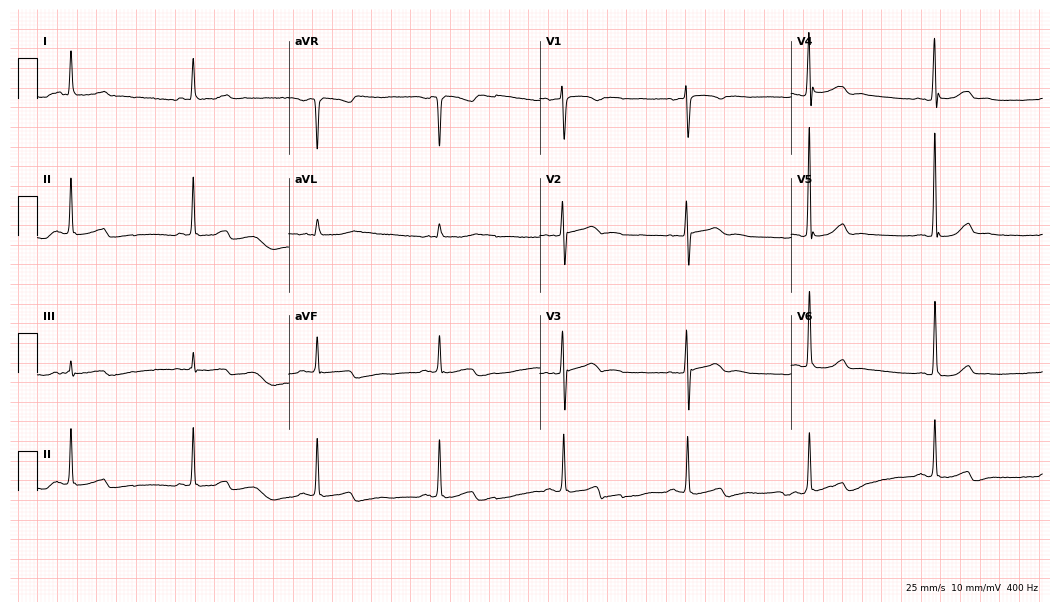
ECG — a female, 80 years old. Findings include sinus bradycardia (a sinus rate of 50 beats per minute or less).